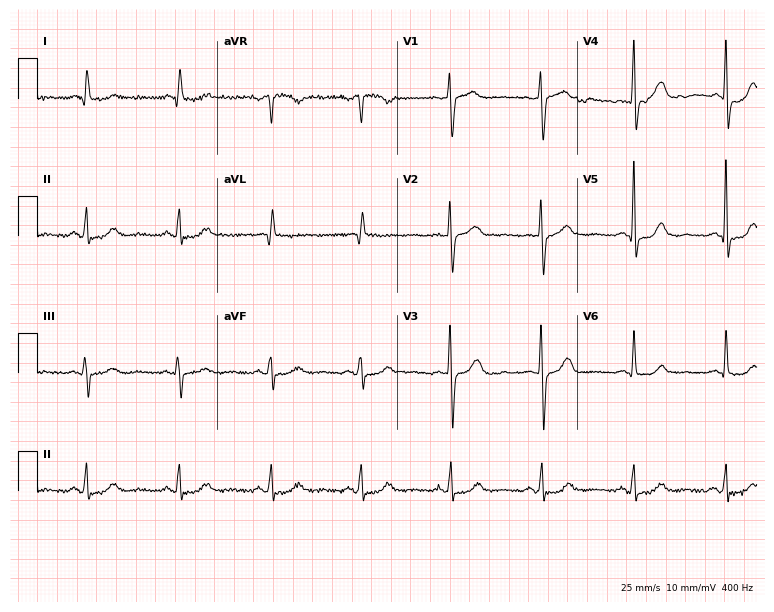
12-lead ECG from a female, 63 years old. Labelled as a normal ECG.